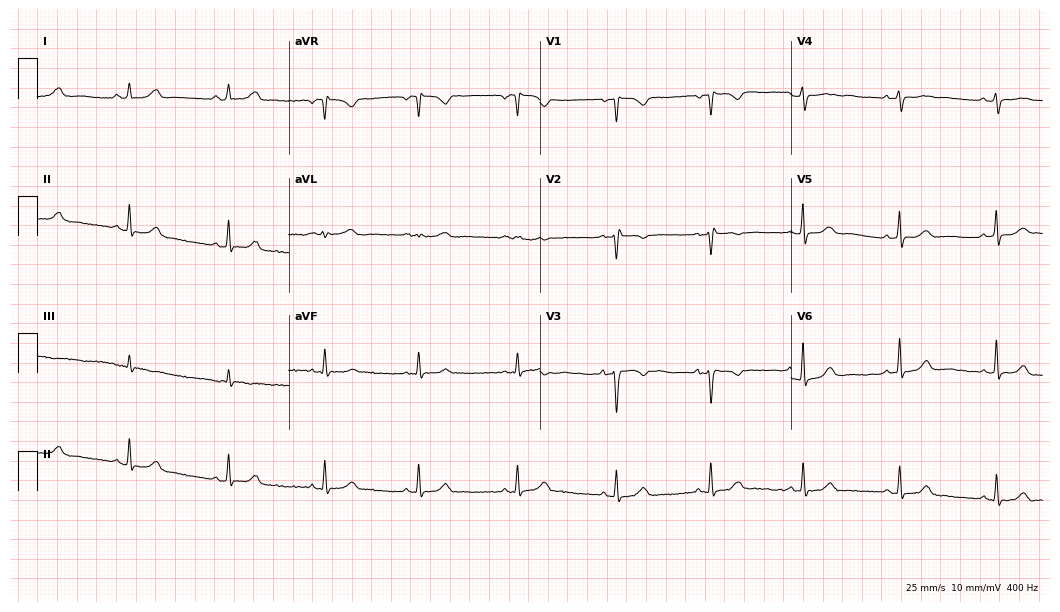
12-lead ECG from a female, 37 years old (10.2-second recording at 400 Hz). No first-degree AV block, right bundle branch block, left bundle branch block, sinus bradycardia, atrial fibrillation or sinus tachycardia recorded for this tracing.